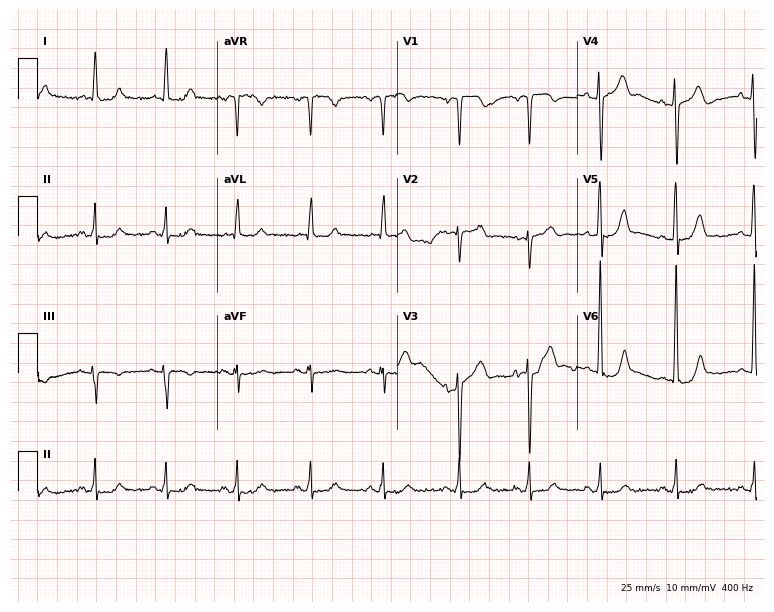
Standard 12-lead ECG recorded from a 79-year-old man. None of these six findings is recorded: first-degree AV block, right bundle branch block, left bundle branch block, sinus bradycardia, atrial fibrillation, sinus tachycardia. Only these six findings were labelled.